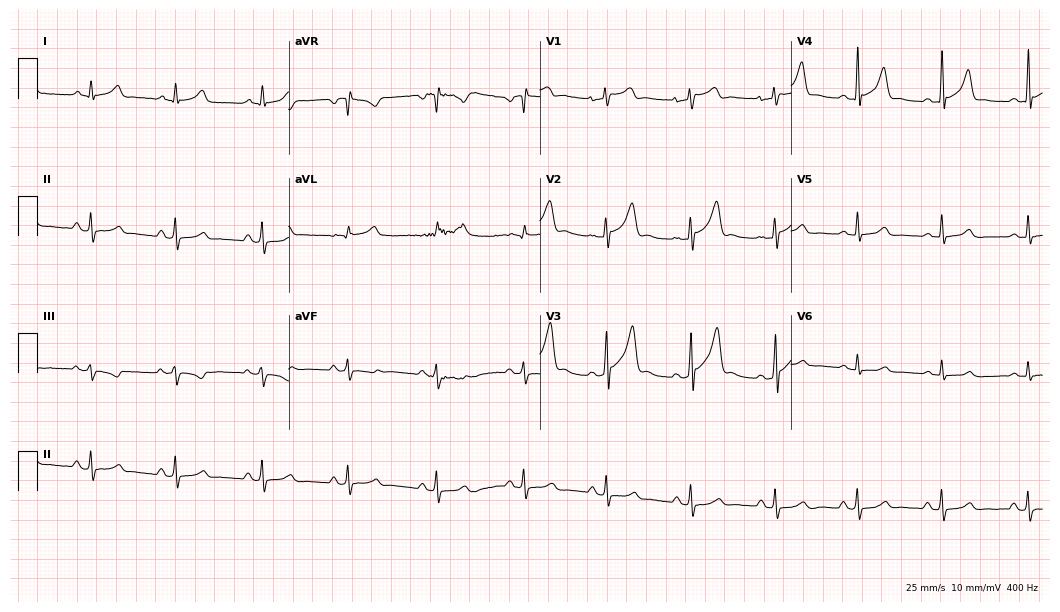
Electrocardiogram (10.2-second recording at 400 Hz), a 42-year-old male patient. Overall reading on record: normal ECG.